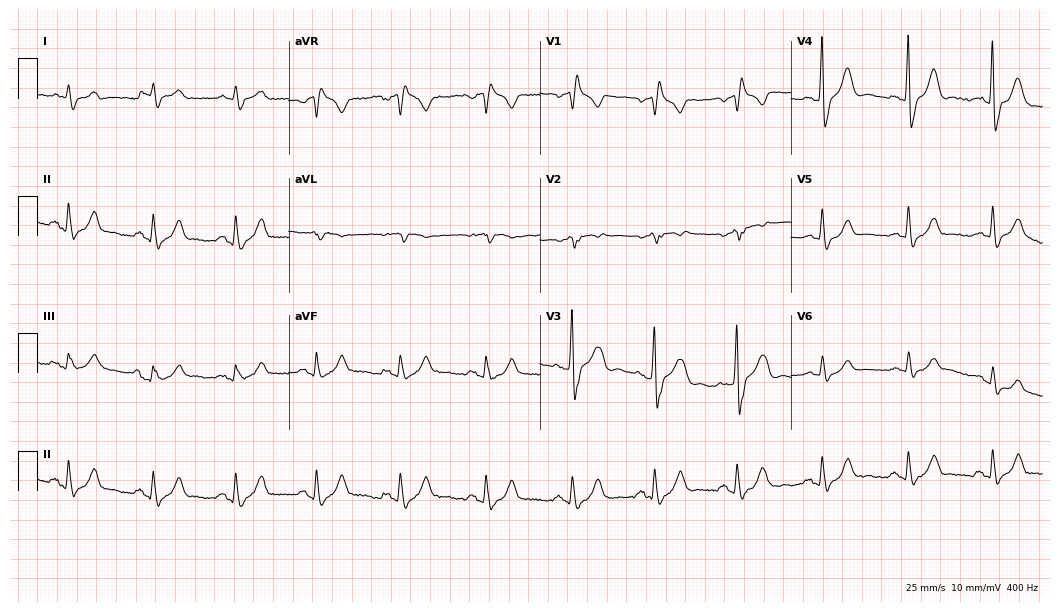
Resting 12-lead electrocardiogram (10.2-second recording at 400 Hz). Patient: a male, 74 years old. The tracing shows right bundle branch block (RBBB).